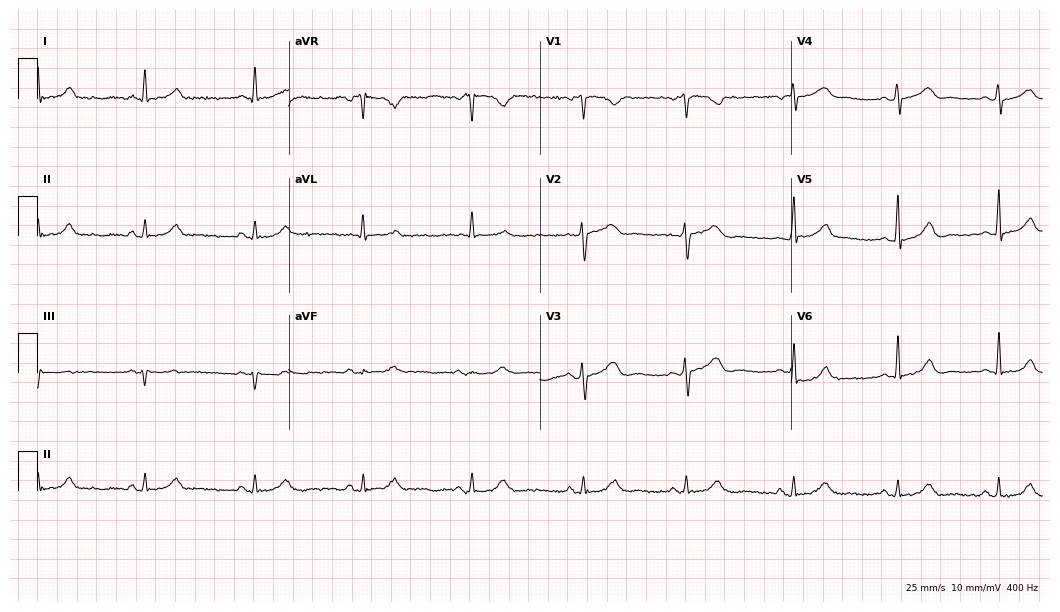
12-lead ECG from a 30-year-old female. No first-degree AV block, right bundle branch block, left bundle branch block, sinus bradycardia, atrial fibrillation or sinus tachycardia recorded for this tracing.